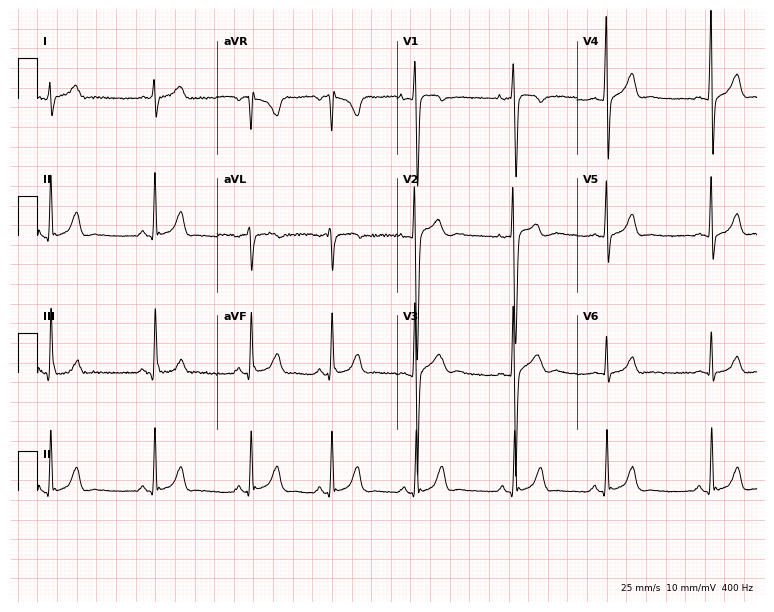
Resting 12-lead electrocardiogram. Patient: an 18-year-old male. Read as a normal ECG.